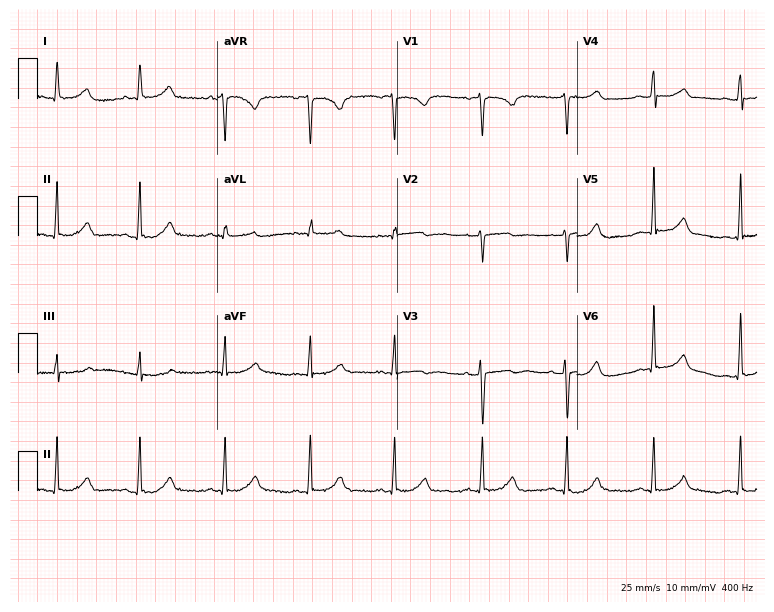
Standard 12-lead ECG recorded from a female patient, 57 years old. Read as a normal ECG.